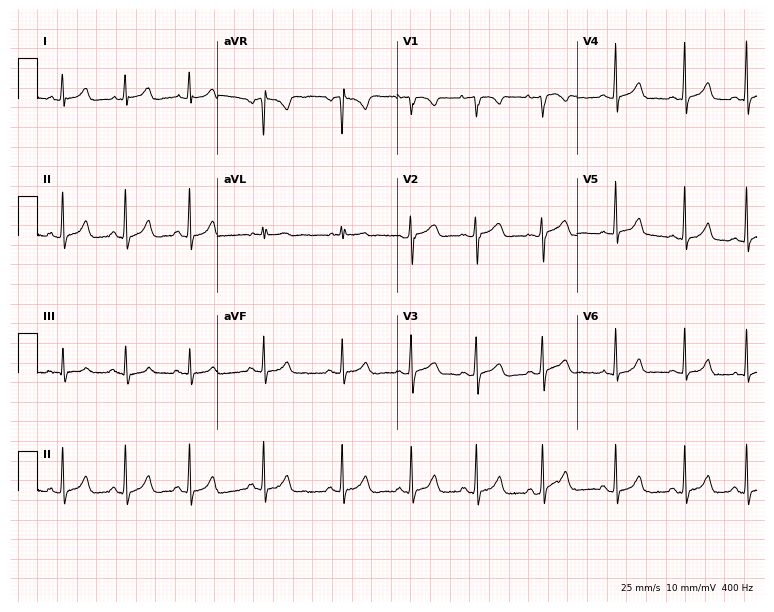
Resting 12-lead electrocardiogram. Patient: a 21-year-old female. Read as a normal ECG.